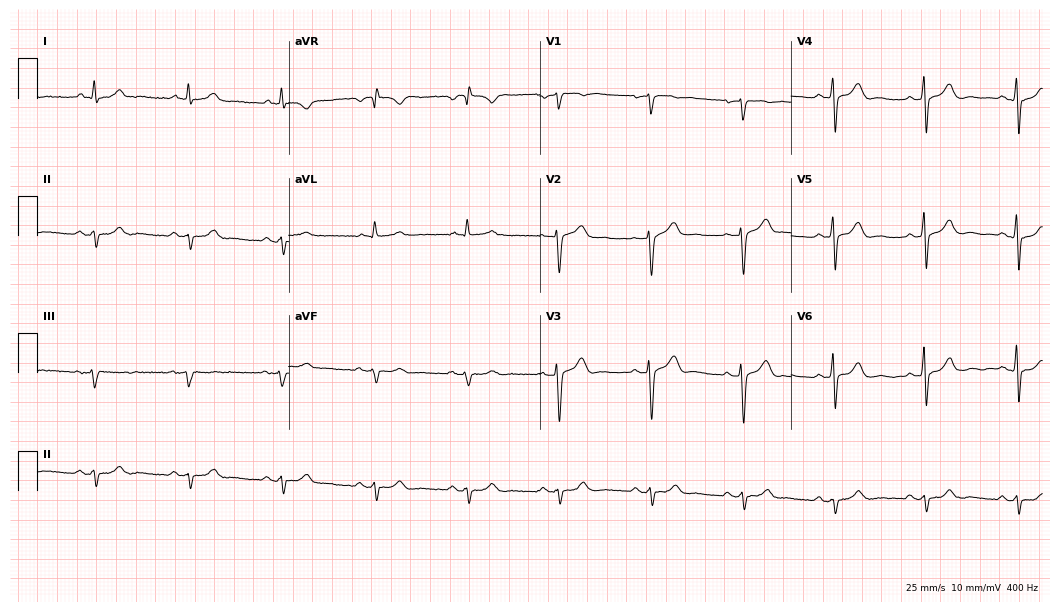
Resting 12-lead electrocardiogram (10.2-second recording at 400 Hz). Patient: a 74-year-old male. None of these six findings is recorded: first-degree AV block, right bundle branch block, left bundle branch block, sinus bradycardia, atrial fibrillation, sinus tachycardia.